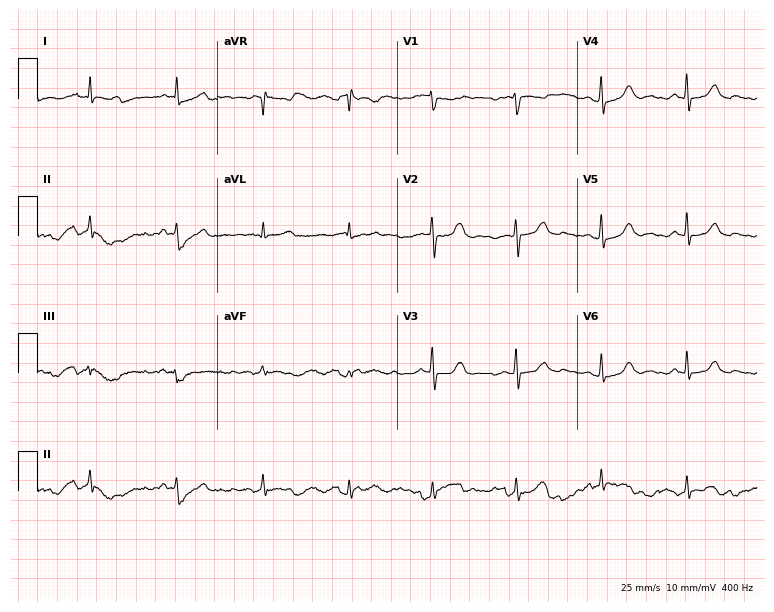
Resting 12-lead electrocardiogram (7.3-second recording at 400 Hz). Patient: a 39-year-old female. Read as a normal ECG.